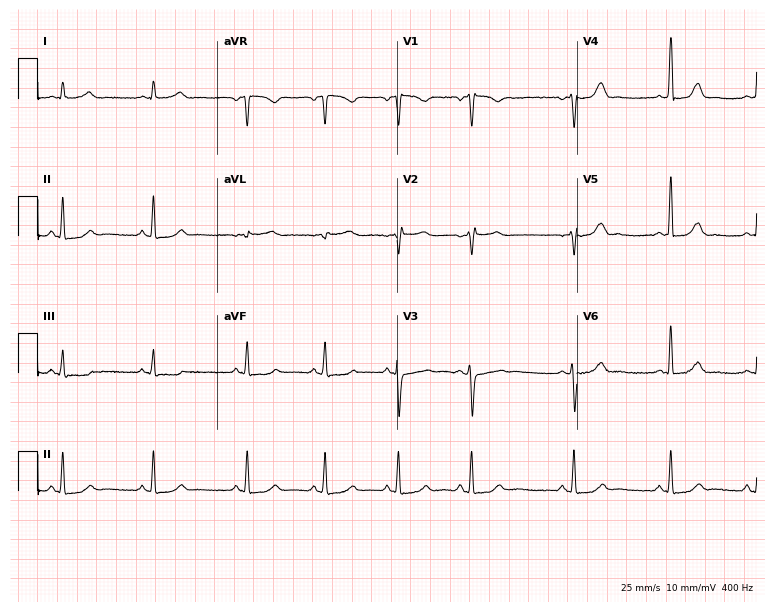
Standard 12-lead ECG recorded from a female, 33 years old (7.3-second recording at 400 Hz). None of these six findings is recorded: first-degree AV block, right bundle branch block (RBBB), left bundle branch block (LBBB), sinus bradycardia, atrial fibrillation (AF), sinus tachycardia. Only these six findings were labelled.